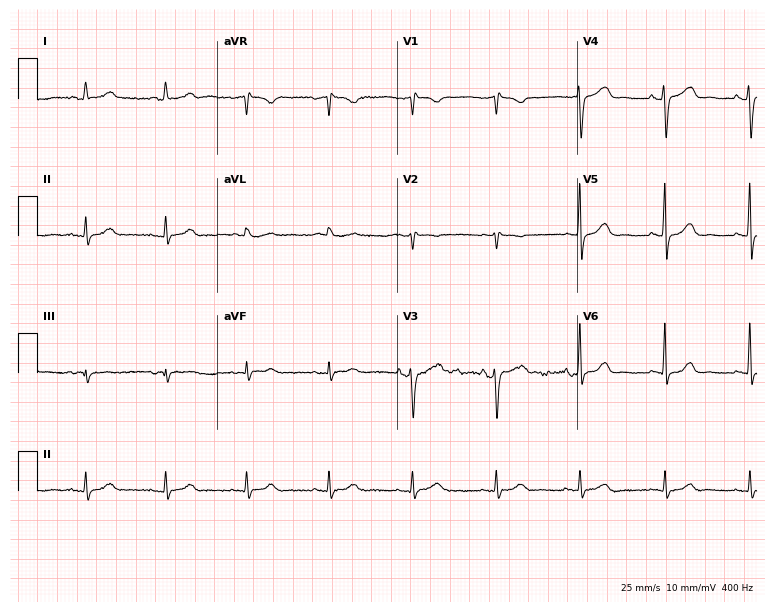
ECG (7.3-second recording at 400 Hz) — a 67-year-old woman. Screened for six findings — first-degree AV block, right bundle branch block (RBBB), left bundle branch block (LBBB), sinus bradycardia, atrial fibrillation (AF), sinus tachycardia — none is recorded. Only these six findings were labelled.